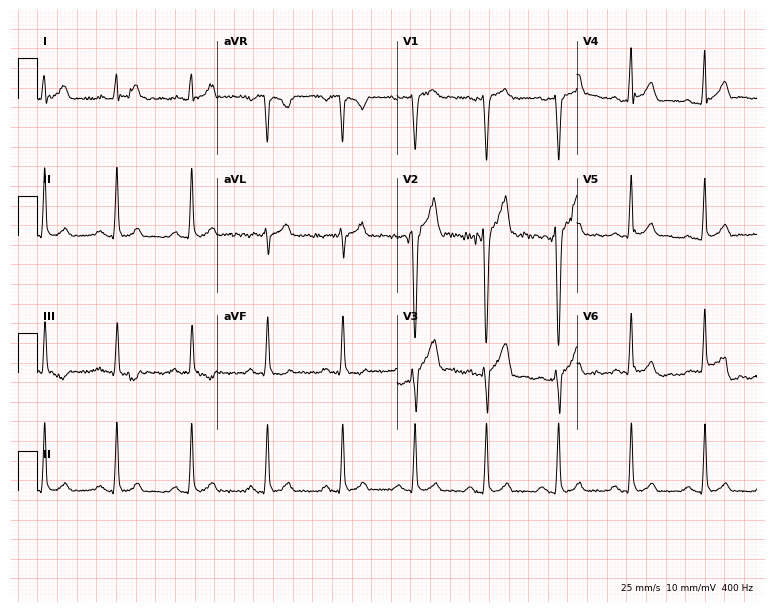
12-lead ECG from a man, 27 years old. Labelled as a normal ECG.